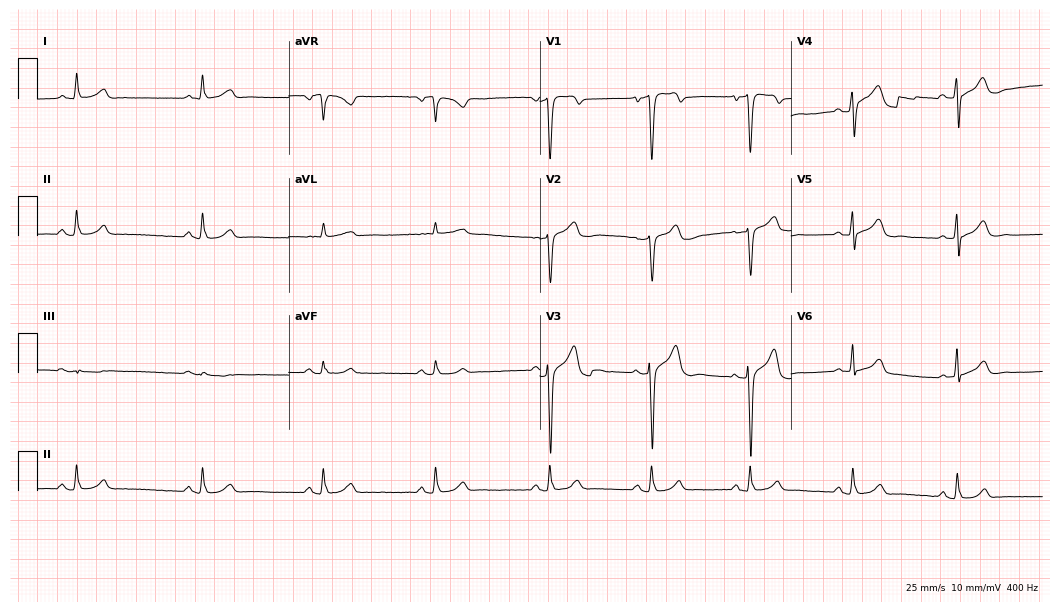
Standard 12-lead ECG recorded from a male patient, 49 years old (10.2-second recording at 400 Hz). Read as a normal ECG.